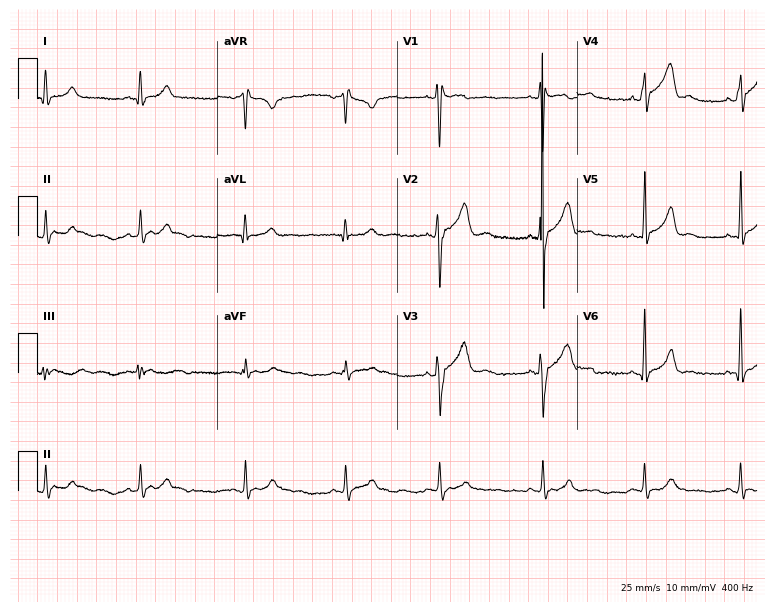
Resting 12-lead electrocardiogram. Patient: a male, 22 years old. None of these six findings is recorded: first-degree AV block, right bundle branch block, left bundle branch block, sinus bradycardia, atrial fibrillation, sinus tachycardia. Other findings, if any, are not listed.